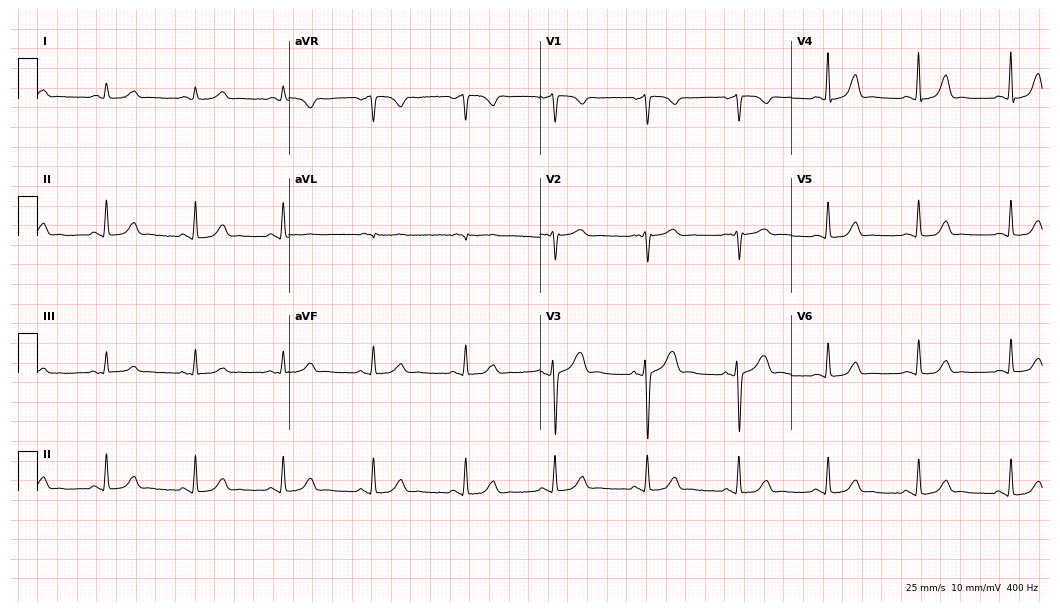
12-lead ECG from a 50-year-old female patient. Recorded interpretation: within normal limits.